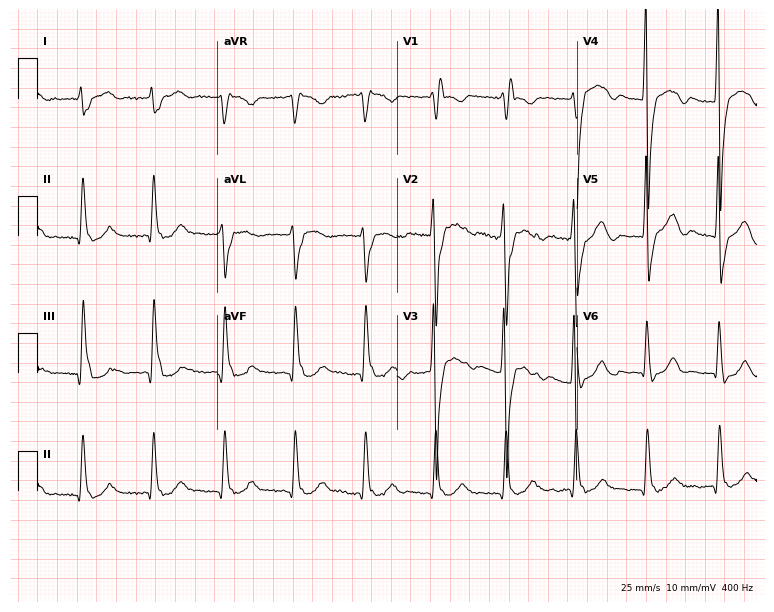
Standard 12-lead ECG recorded from a man, 85 years old (7.3-second recording at 400 Hz). None of these six findings is recorded: first-degree AV block, right bundle branch block, left bundle branch block, sinus bradycardia, atrial fibrillation, sinus tachycardia. Findings outside these six are not listed.